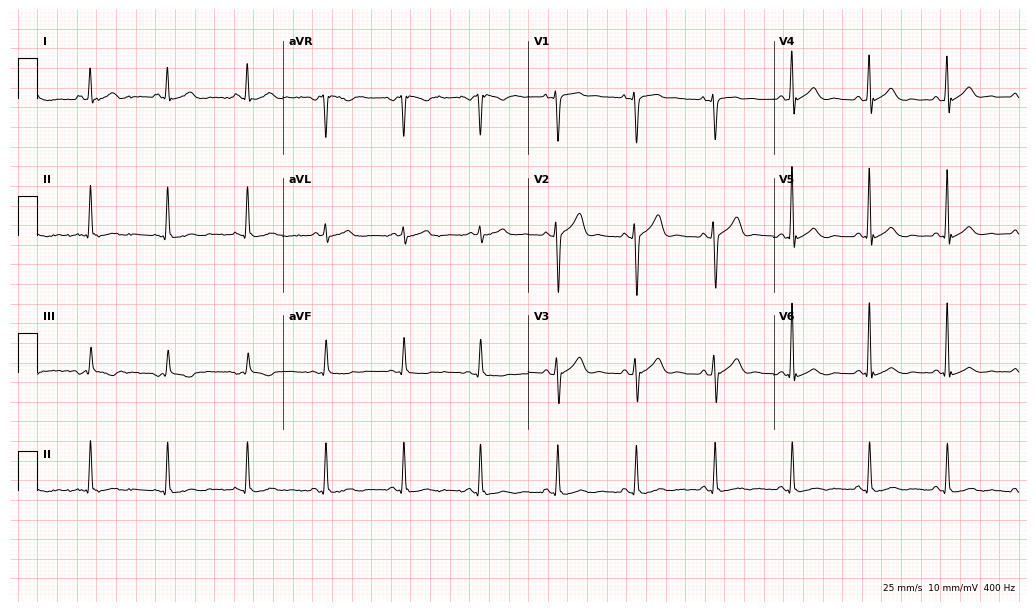
12-lead ECG from a 44-year-old male patient. Screened for six findings — first-degree AV block, right bundle branch block (RBBB), left bundle branch block (LBBB), sinus bradycardia, atrial fibrillation (AF), sinus tachycardia — none is recorded.